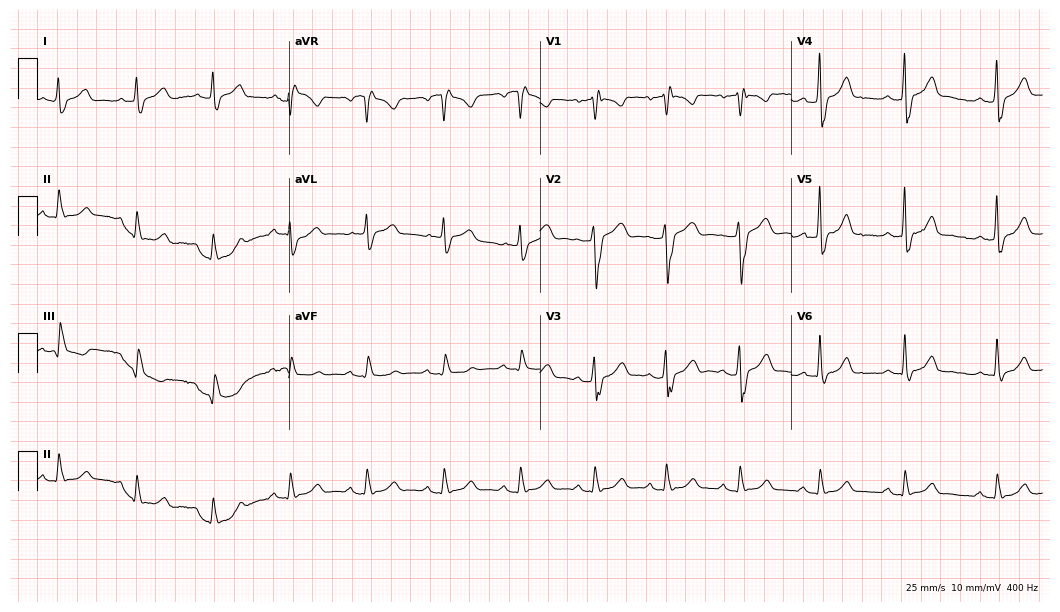
Electrocardiogram (10.2-second recording at 400 Hz), a 48-year-old man. Of the six screened findings (first-degree AV block, right bundle branch block (RBBB), left bundle branch block (LBBB), sinus bradycardia, atrial fibrillation (AF), sinus tachycardia), none is recorded. Findings outside these six are not listed.